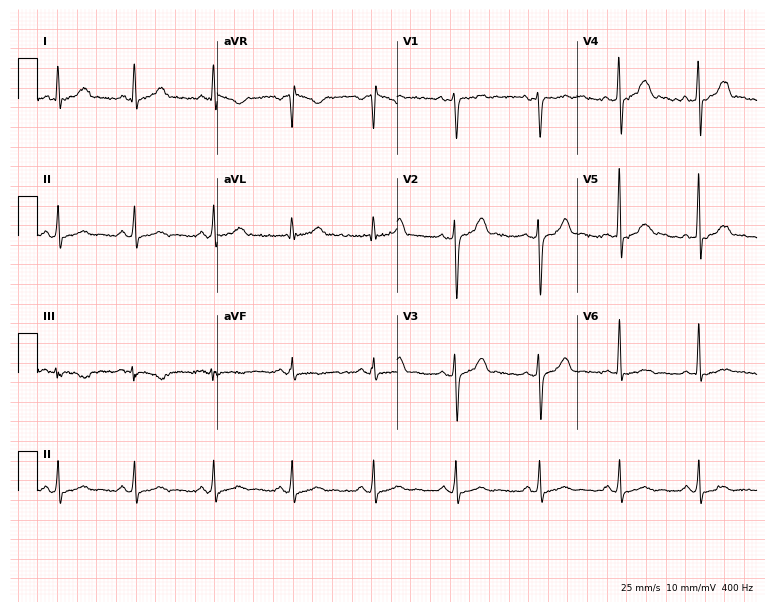
12-lead ECG (7.3-second recording at 400 Hz) from a male patient, 52 years old. Screened for six findings — first-degree AV block, right bundle branch block (RBBB), left bundle branch block (LBBB), sinus bradycardia, atrial fibrillation (AF), sinus tachycardia — none is recorded. Only these six findings were labelled.